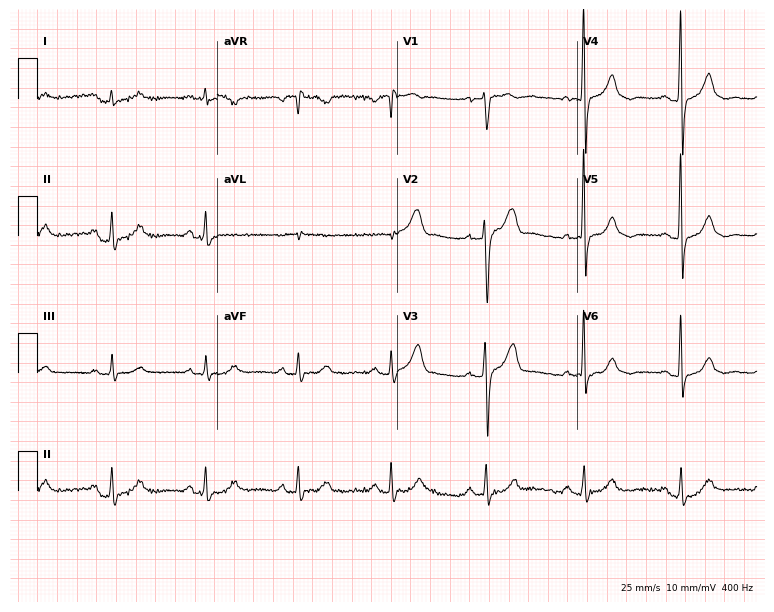
12-lead ECG from a 61-year-old male (7.3-second recording at 400 Hz). No first-degree AV block, right bundle branch block, left bundle branch block, sinus bradycardia, atrial fibrillation or sinus tachycardia recorded for this tracing.